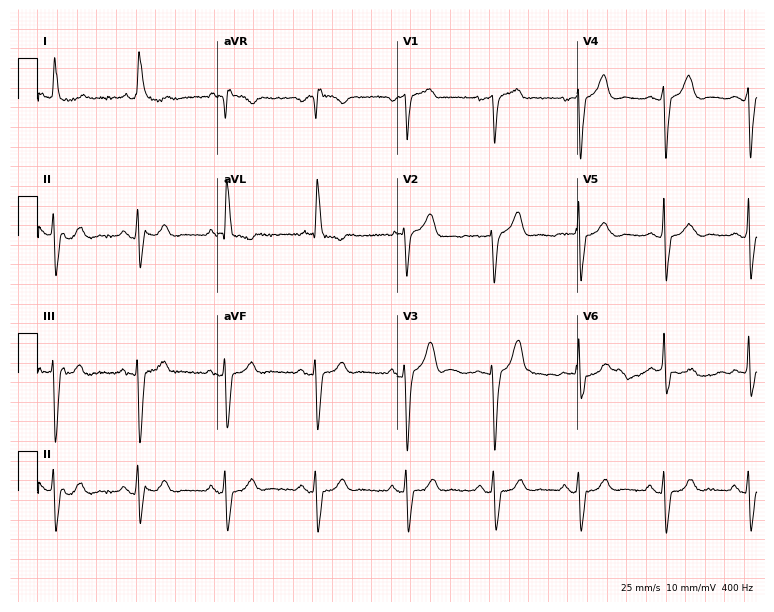
Standard 12-lead ECG recorded from an 83-year-old female patient. None of these six findings is recorded: first-degree AV block, right bundle branch block, left bundle branch block, sinus bradycardia, atrial fibrillation, sinus tachycardia.